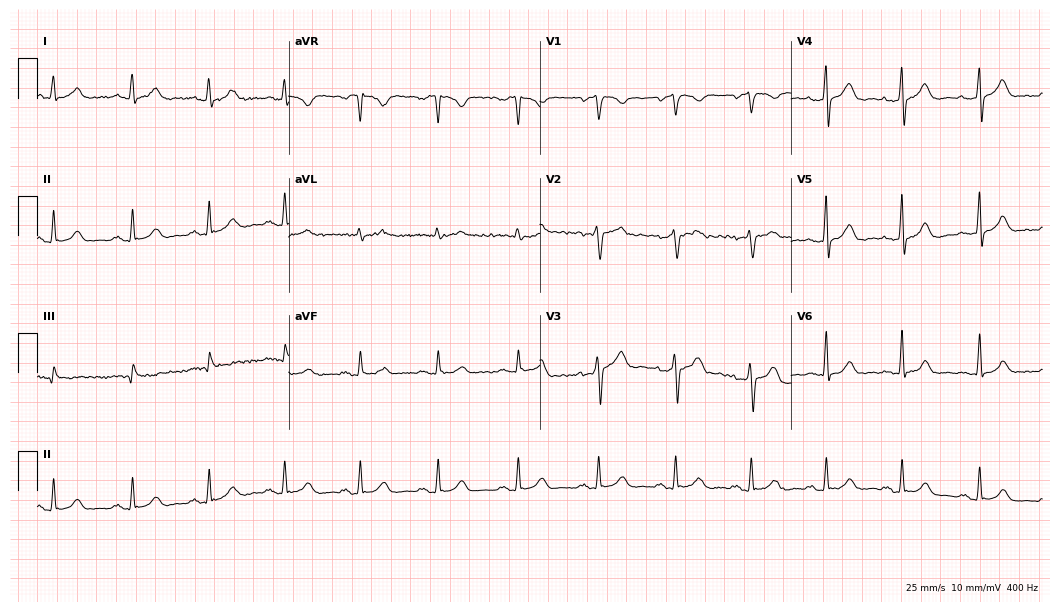
12-lead ECG (10.2-second recording at 400 Hz) from a 65-year-old female. Labelled as a normal ECG.